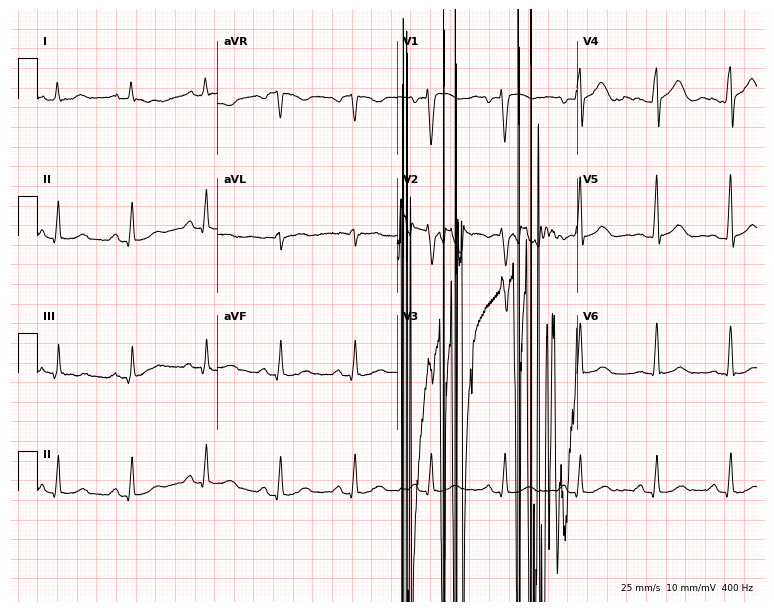
Resting 12-lead electrocardiogram. Patient: a man, 48 years old. None of these six findings is recorded: first-degree AV block, right bundle branch block, left bundle branch block, sinus bradycardia, atrial fibrillation, sinus tachycardia.